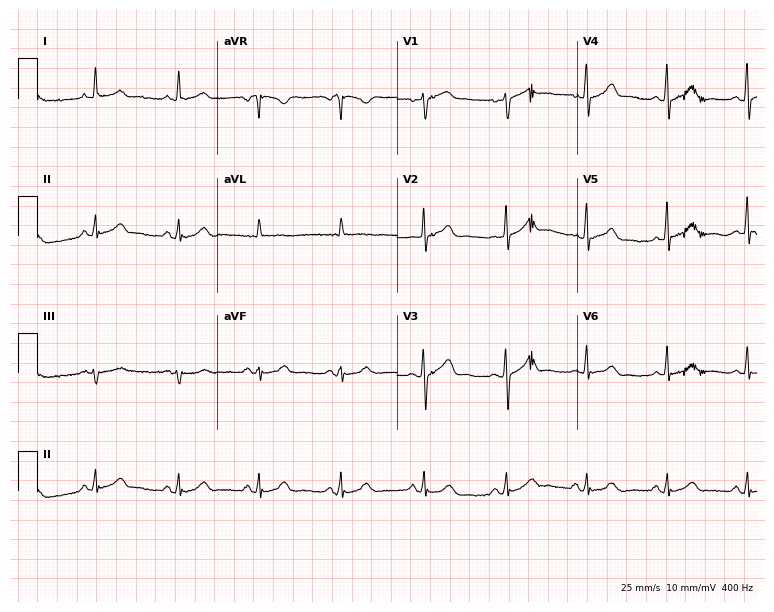
12-lead ECG from a female, 73 years old (7.3-second recording at 400 Hz). Recorded interpretation: within normal limits.